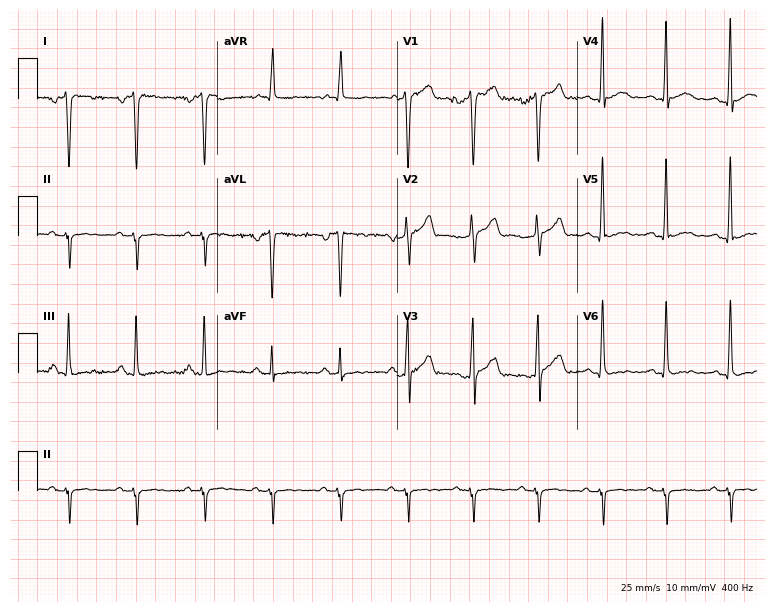
12-lead ECG from a 25-year-old male patient (7.3-second recording at 400 Hz). No first-degree AV block, right bundle branch block, left bundle branch block, sinus bradycardia, atrial fibrillation or sinus tachycardia recorded for this tracing. Other findings, if any, are not listed.